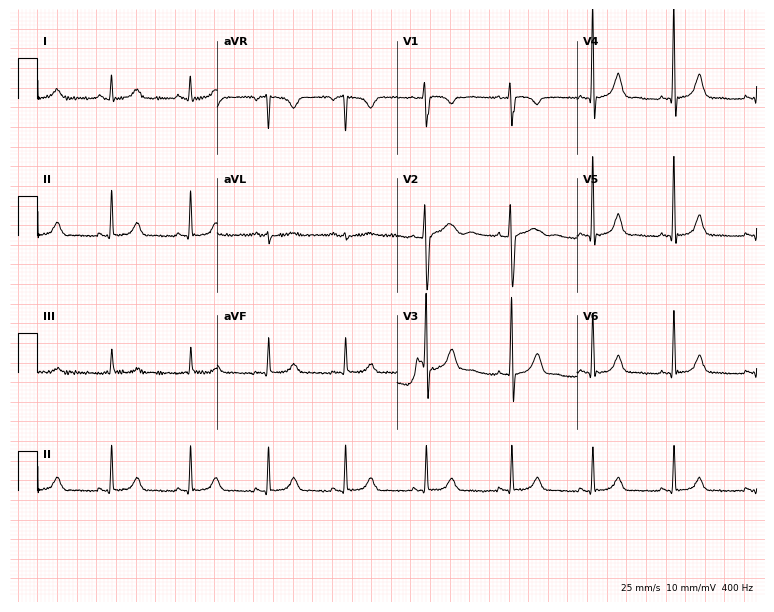
12-lead ECG from a female patient, 24 years old. No first-degree AV block, right bundle branch block, left bundle branch block, sinus bradycardia, atrial fibrillation or sinus tachycardia recorded for this tracing. Other findings, if any, are not listed.